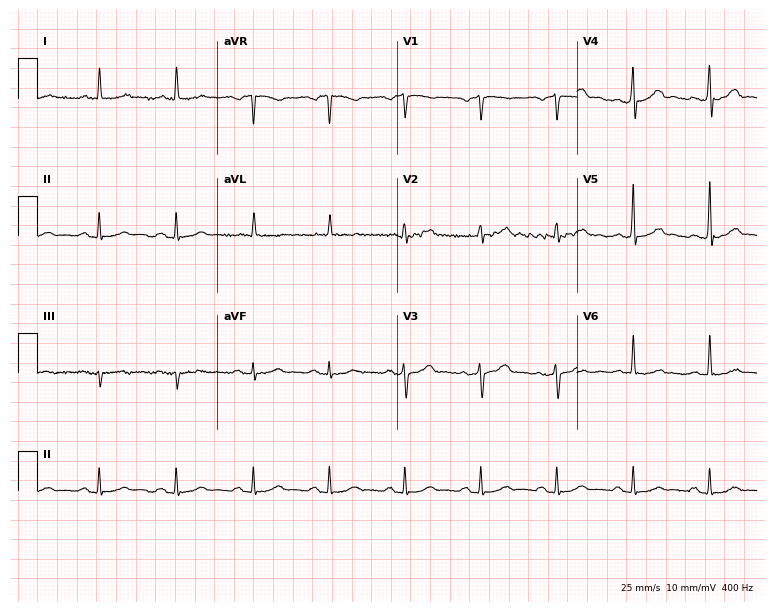
12-lead ECG (7.3-second recording at 400 Hz) from a male, 70 years old. Screened for six findings — first-degree AV block, right bundle branch block, left bundle branch block, sinus bradycardia, atrial fibrillation, sinus tachycardia — none is recorded.